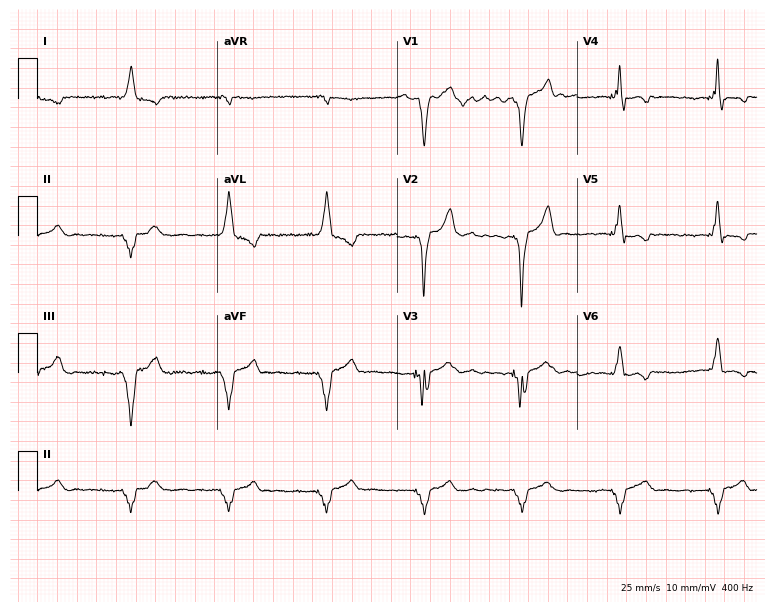
12-lead ECG (7.3-second recording at 400 Hz) from an 82-year-old female. Screened for six findings — first-degree AV block, right bundle branch block, left bundle branch block, sinus bradycardia, atrial fibrillation, sinus tachycardia — none is recorded. Only these six findings were labelled.